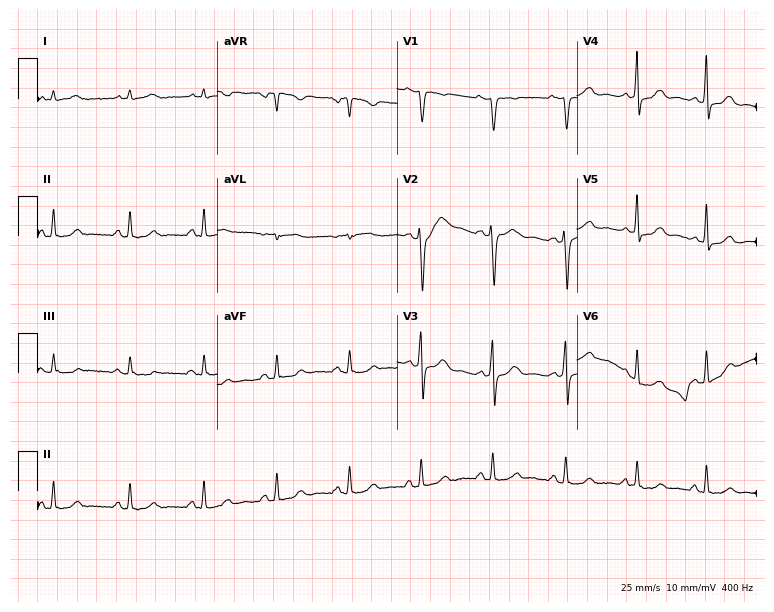
ECG (7.3-second recording at 400 Hz) — a 39-year-old woman. Screened for six findings — first-degree AV block, right bundle branch block, left bundle branch block, sinus bradycardia, atrial fibrillation, sinus tachycardia — none is recorded. Only these six findings were labelled.